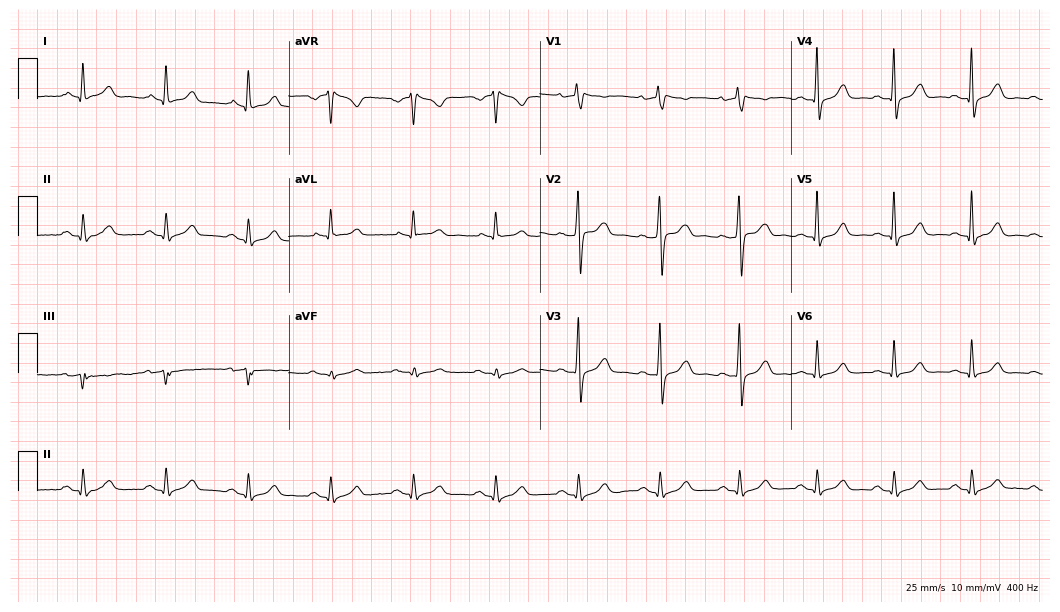
Electrocardiogram, a 66-year-old male patient. Of the six screened findings (first-degree AV block, right bundle branch block, left bundle branch block, sinus bradycardia, atrial fibrillation, sinus tachycardia), none is recorded.